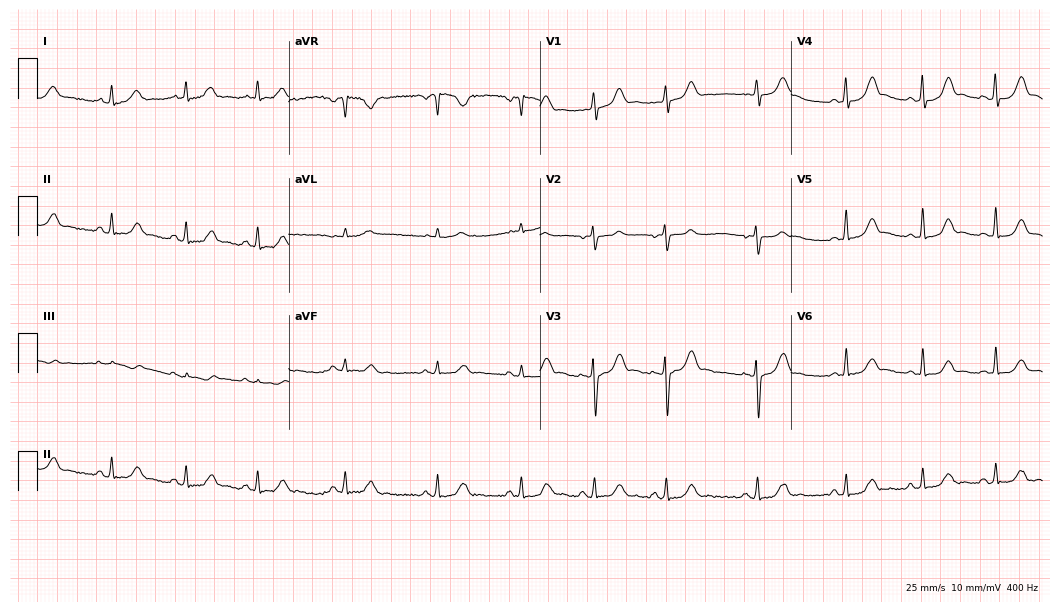
Resting 12-lead electrocardiogram. Patient: a 19-year-old female. None of these six findings is recorded: first-degree AV block, right bundle branch block, left bundle branch block, sinus bradycardia, atrial fibrillation, sinus tachycardia. Other findings, if any, are not listed.